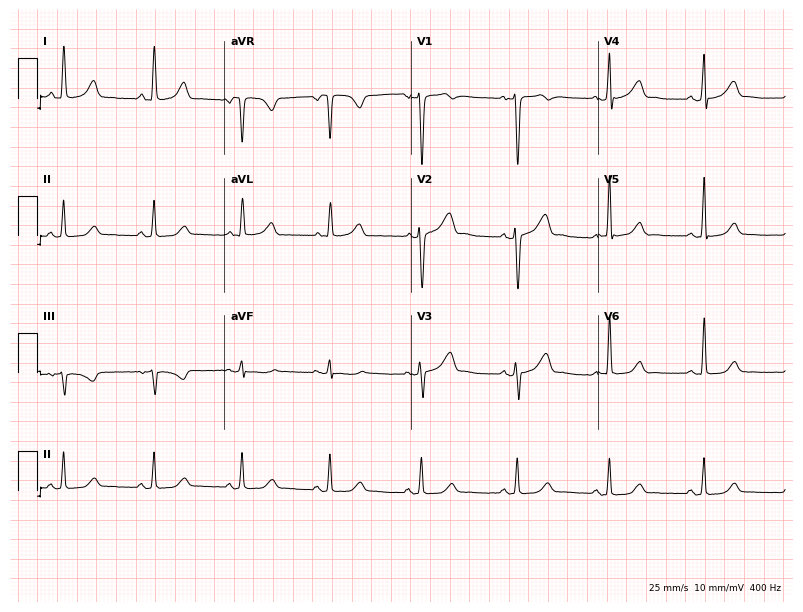
12-lead ECG from a woman, 37 years old. No first-degree AV block, right bundle branch block (RBBB), left bundle branch block (LBBB), sinus bradycardia, atrial fibrillation (AF) or sinus tachycardia recorded for this tracing. Other findings, if any, are not listed.